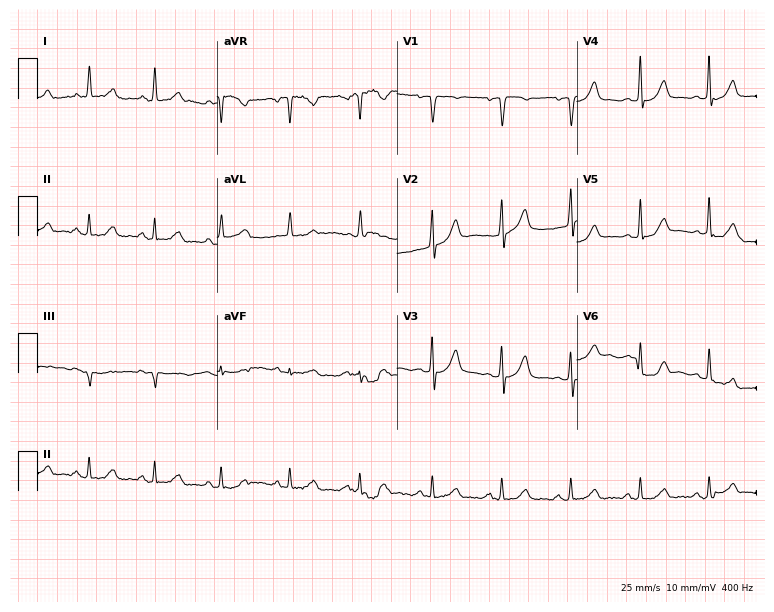
ECG (7.3-second recording at 400 Hz) — a male, 62 years old. Screened for six findings — first-degree AV block, right bundle branch block, left bundle branch block, sinus bradycardia, atrial fibrillation, sinus tachycardia — none is recorded. Other findings, if any, are not listed.